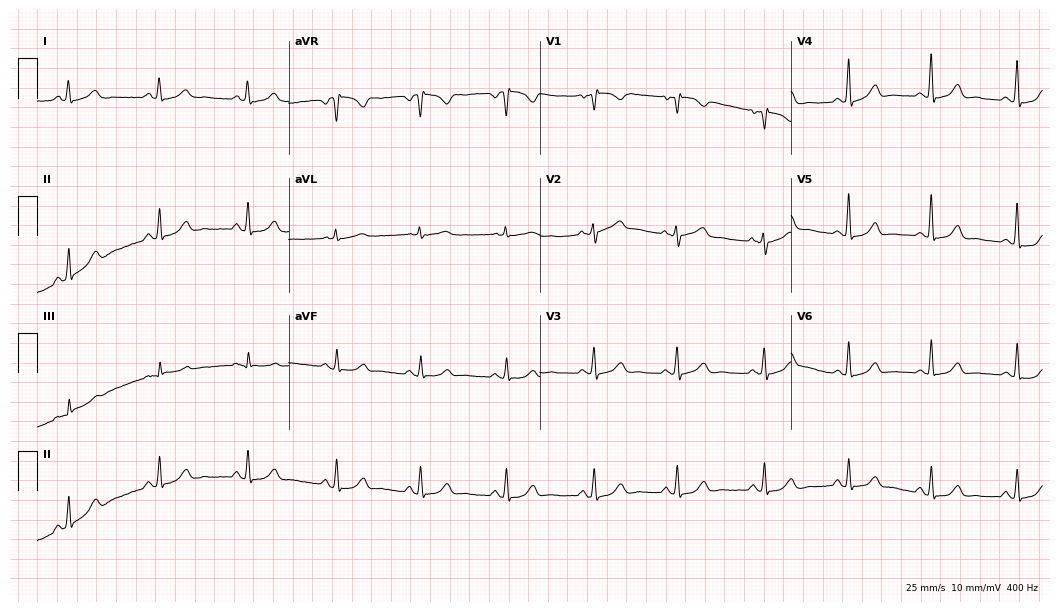
Electrocardiogram (10.2-second recording at 400 Hz), a female patient, 44 years old. Of the six screened findings (first-degree AV block, right bundle branch block (RBBB), left bundle branch block (LBBB), sinus bradycardia, atrial fibrillation (AF), sinus tachycardia), none is recorded.